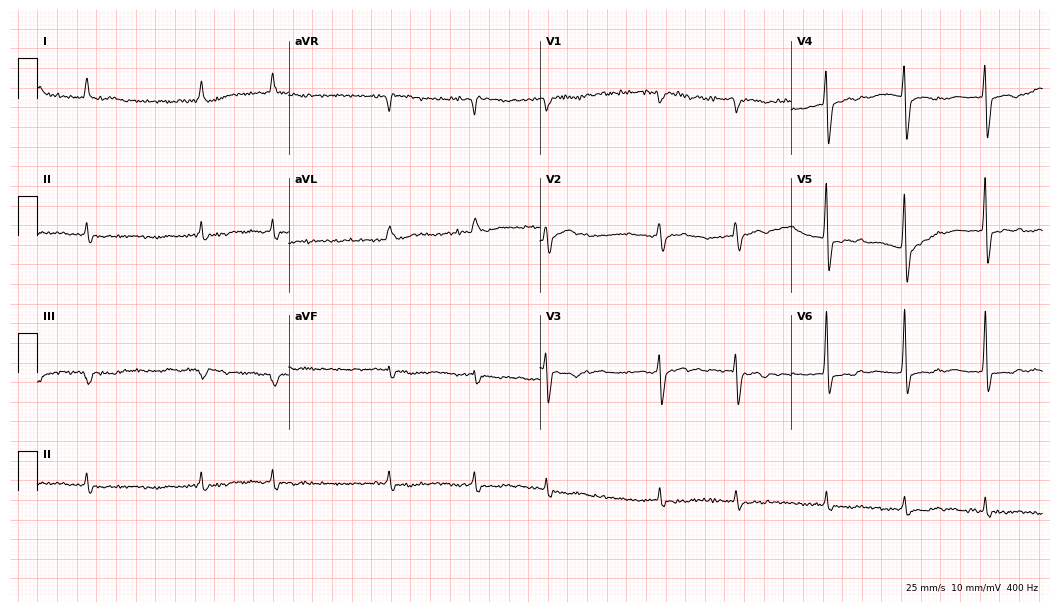
Electrocardiogram (10.2-second recording at 400 Hz), an 85-year-old female patient. Interpretation includes atrial fibrillation.